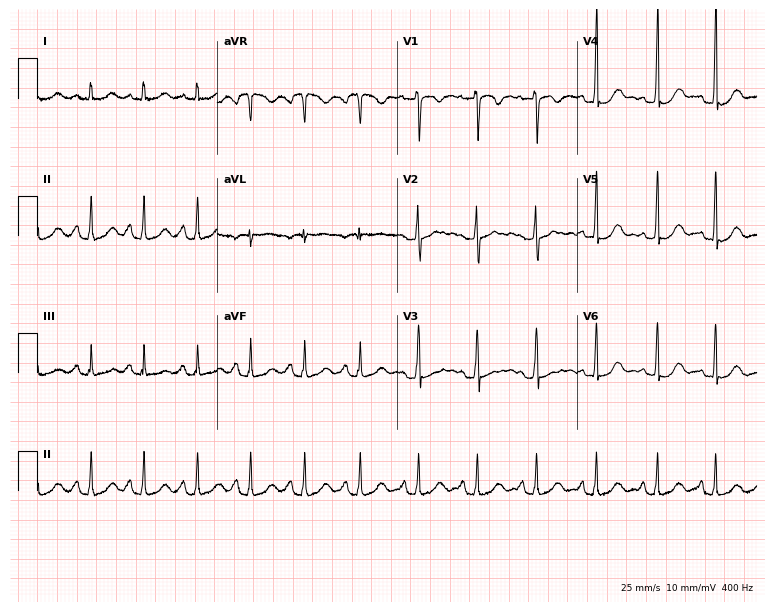
12-lead ECG from a 37-year-old female patient. Shows sinus tachycardia (a sinus rate of 100 beats per minute or more).